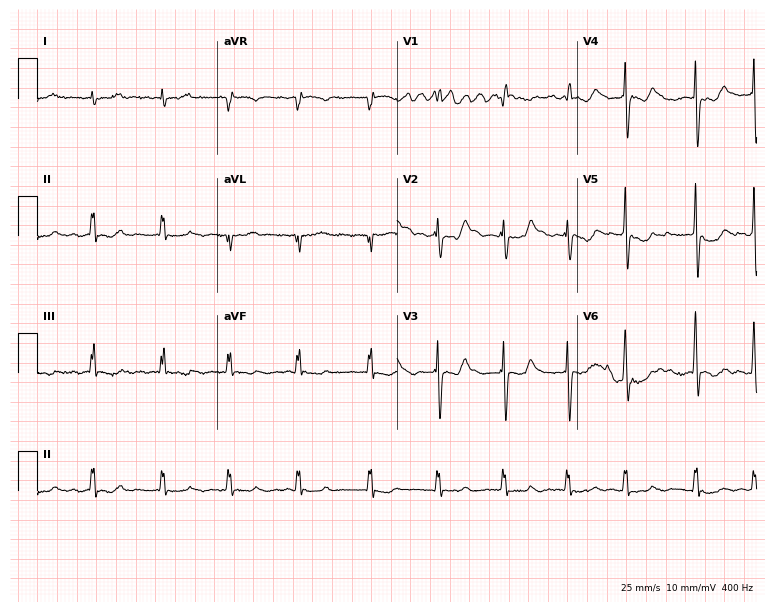
Standard 12-lead ECG recorded from a female, 67 years old (7.3-second recording at 400 Hz). None of these six findings is recorded: first-degree AV block, right bundle branch block (RBBB), left bundle branch block (LBBB), sinus bradycardia, atrial fibrillation (AF), sinus tachycardia.